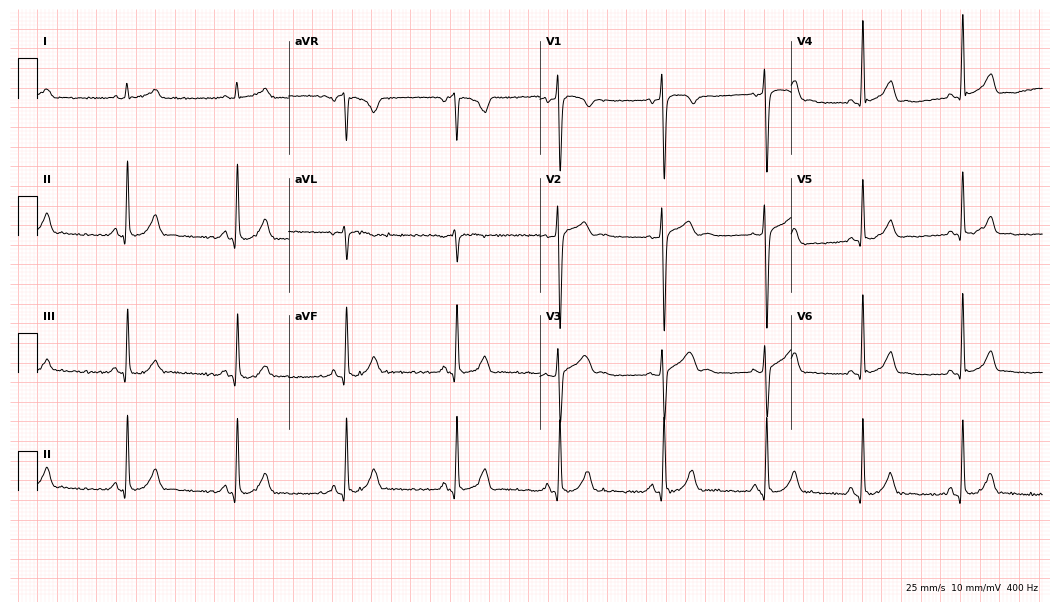
12-lead ECG (10.2-second recording at 400 Hz) from a 42-year-old man. Labelled as a normal ECG.